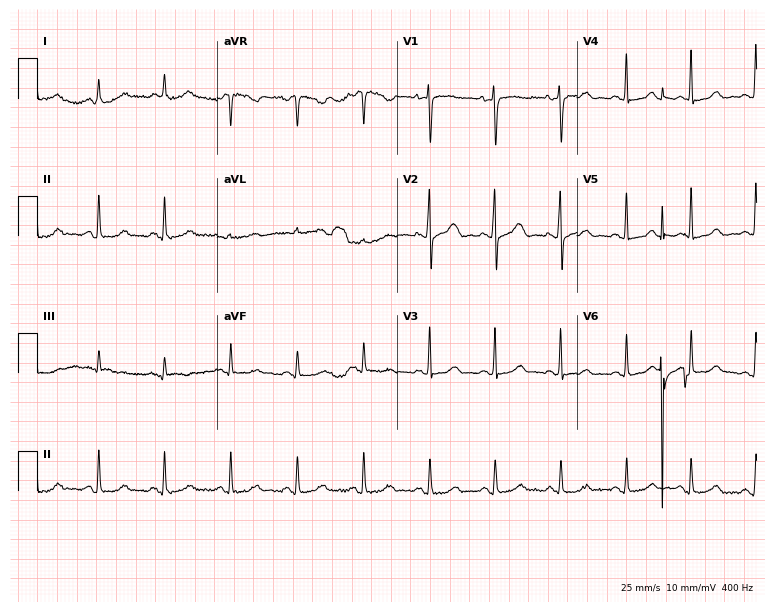
Standard 12-lead ECG recorded from an 85-year-old female patient. Read as a normal ECG.